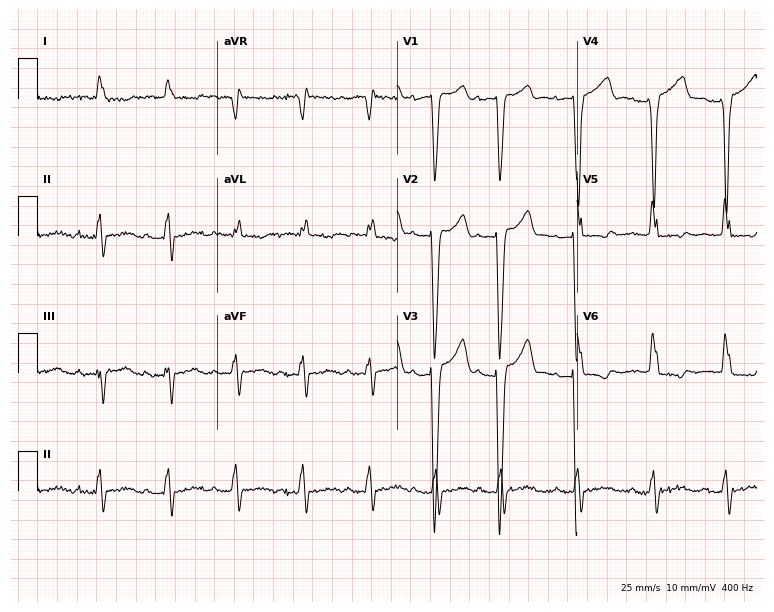
Resting 12-lead electrocardiogram (7.3-second recording at 400 Hz). Patient: a woman, 82 years old. None of these six findings is recorded: first-degree AV block, right bundle branch block, left bundle branch block, sinus bradycardia, atrial fibrillation, sinus tachycardia. Findings outside these six are not listed.